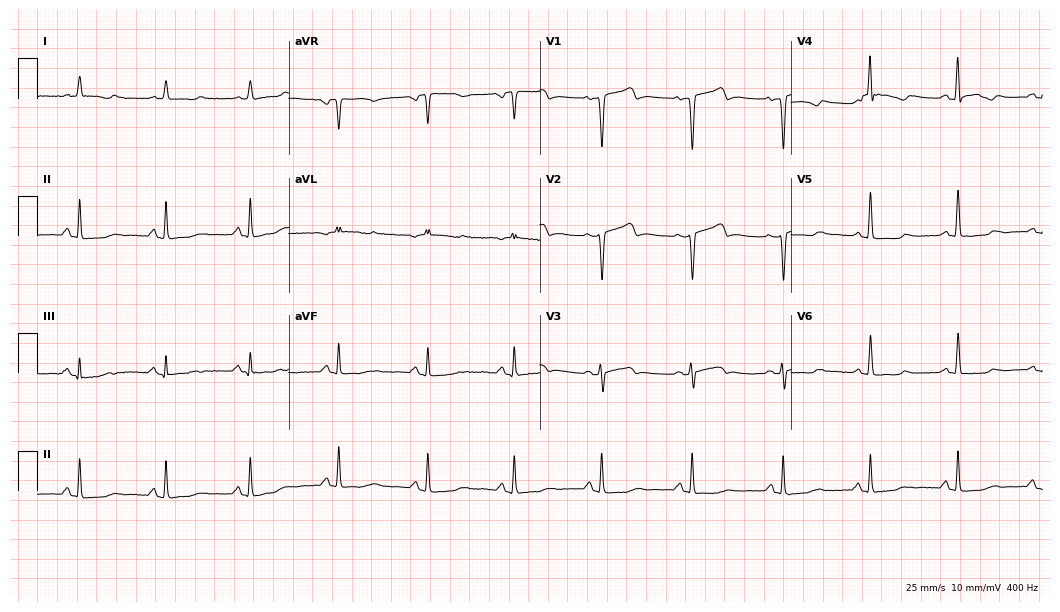
Electrocardiogram (10.2-second recording at 400 Hz), a female patient, 73 years old. Of the six screened findings (first-degree AV block, right bundle branch block (RBBB), left bundle branch block (LBBB), sinus bradycardia, atrial fibrillation (AF), sinus tachycardia), none is recorded.